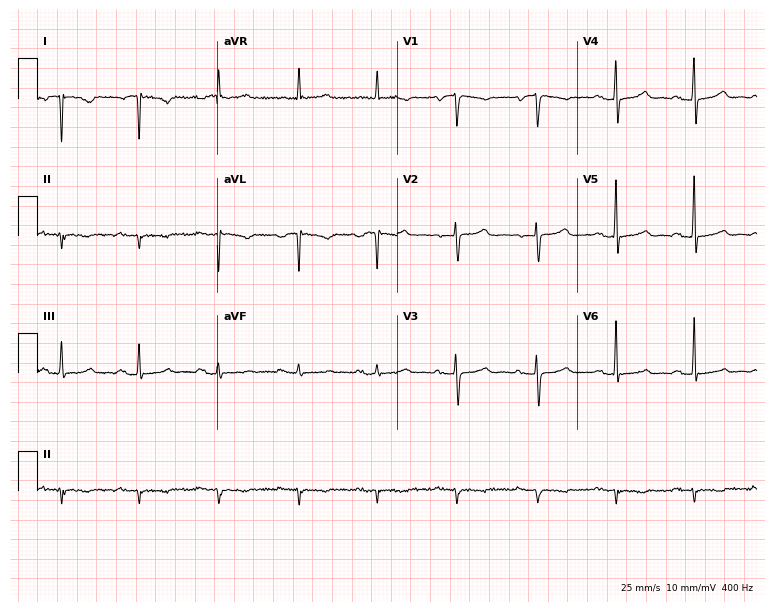
Electrocardiogram, a 76-year-old female patient. Of the six screened findings (first-degree AV block, right bundle branch block (RBBB), left bundle branch block (LBBB), sinus bradycardia, atrial fibrillation (AF), sinus tachycardia), none is recorded.